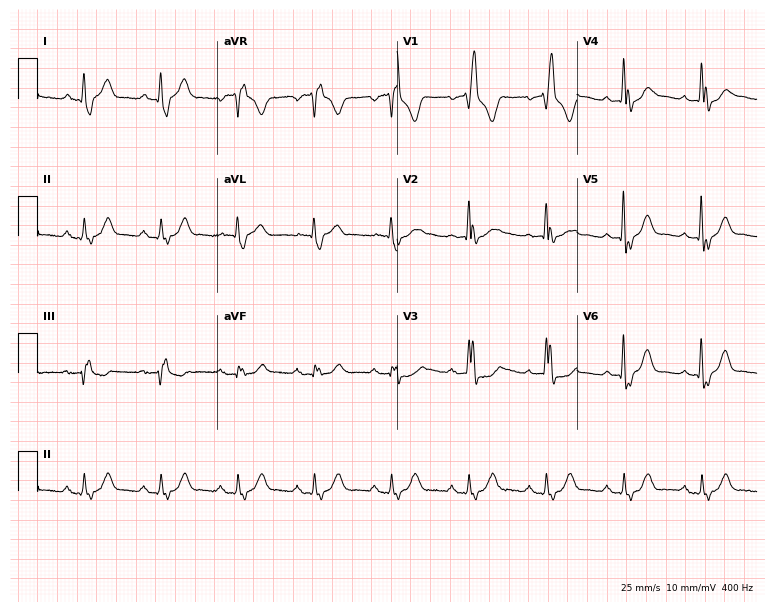
ECG (7.3-second recording at 400 Hz) — a 73-year-old man. Findings include right bundle branch block.